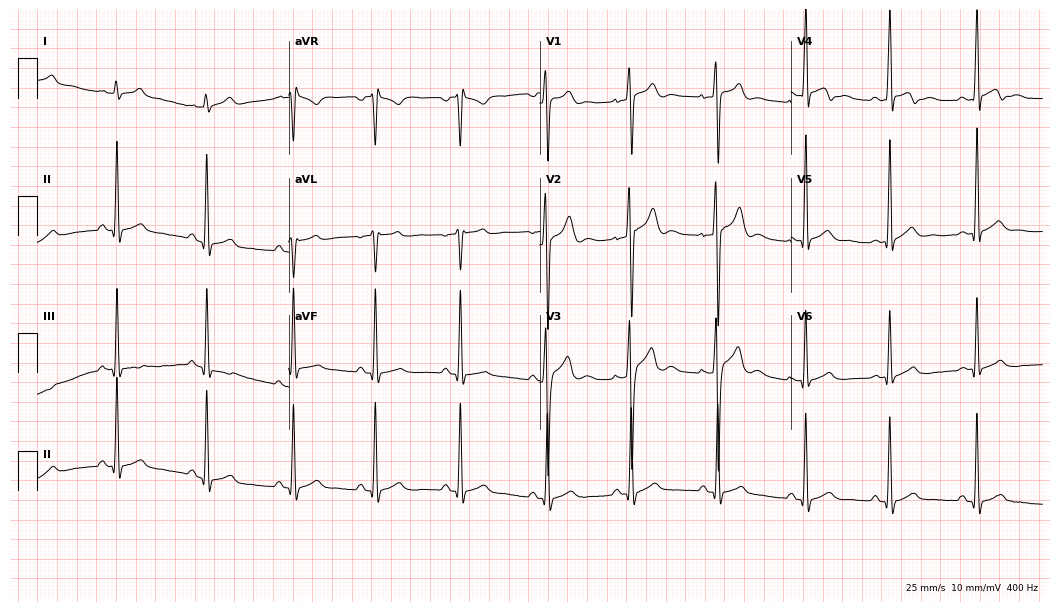
12-lead ECG from a 20-year-old man. Labelled as a normal ECG.